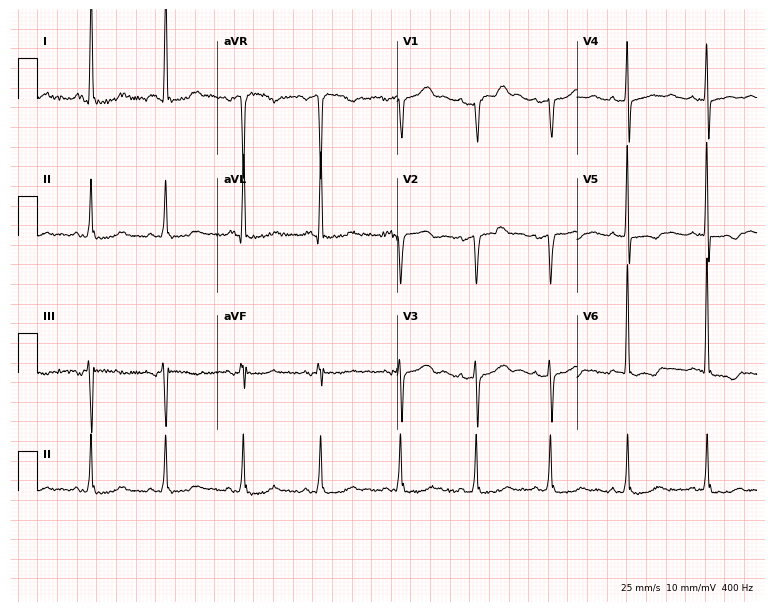
Resting 12-lead electrocardiogram. Patient: a 70-year-old female. Read as a normal ECG.